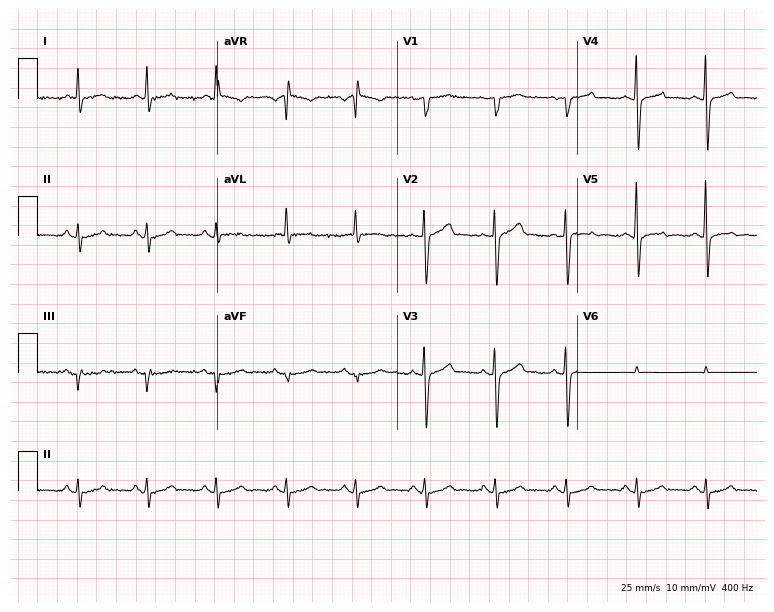
12-lead ECG from a 54-year-old female. Screened for six findings — first-degree AV block, right bundle branch block, left bundle branch block, sinus bradycardia, atrial fibrillation, sinus tachycardia — none is recorded. Findings outside these six are not listed.